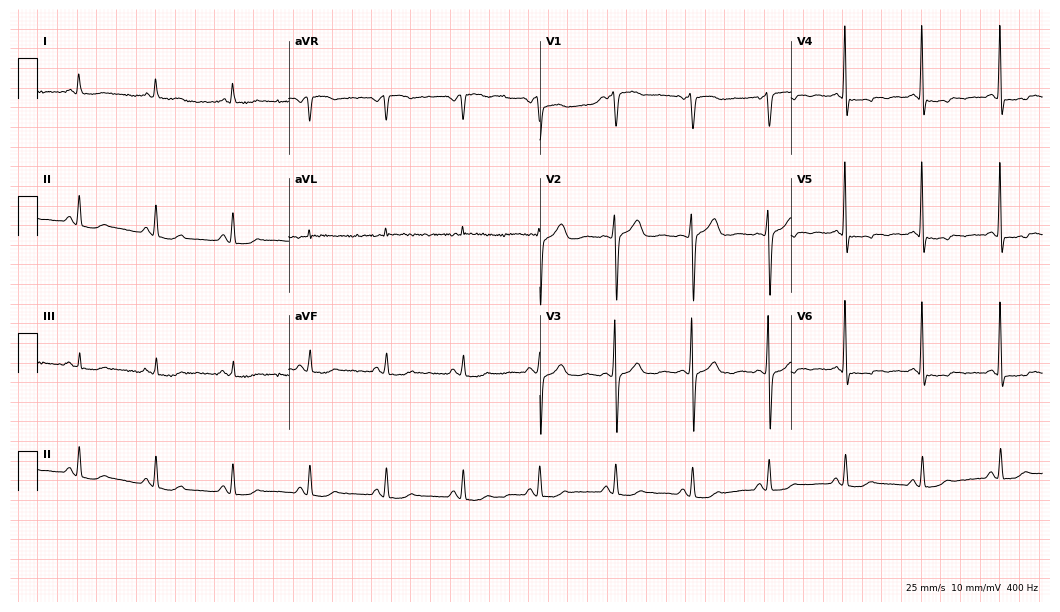
Resting 12-lead electrocardiogram (10.2-second recording at 400 Hz). Patient: a man, 64 years old. None of these six findings is recorded: first-degree AV block, right bundle branch block, left bundle branch block, sinus bradycardia, atrial fibrillation, sinus tachycardia. Findings outside these six are not listed.